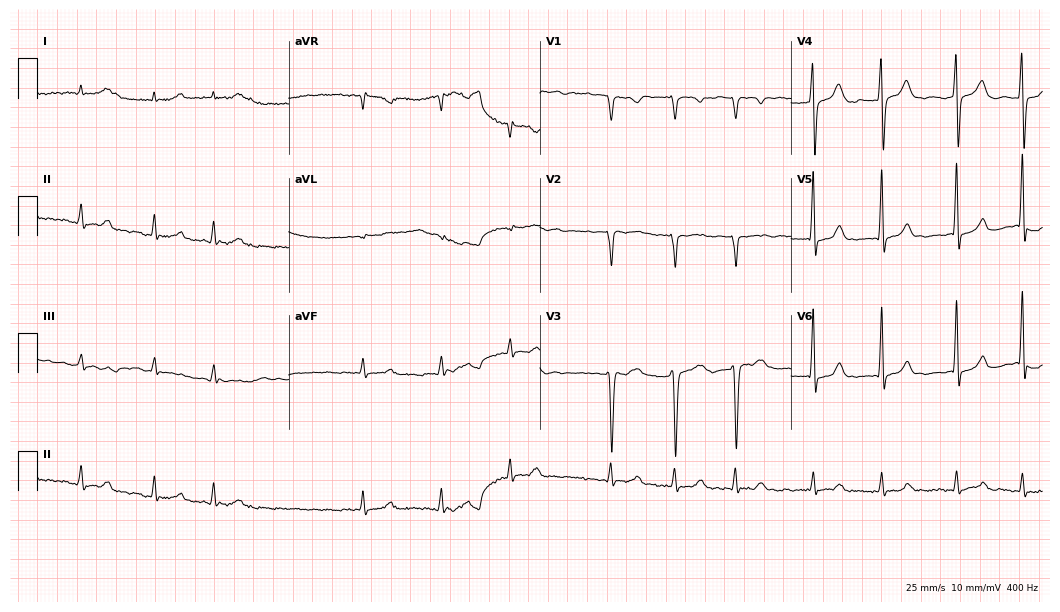
ECG — a 77-year-old male patient. Screened for six findings — first-degree AV block, right bundle branch block, left bundle branch block, sinus bradycardia, atrial fibrillation, sinus tachycardia — none is recorded.